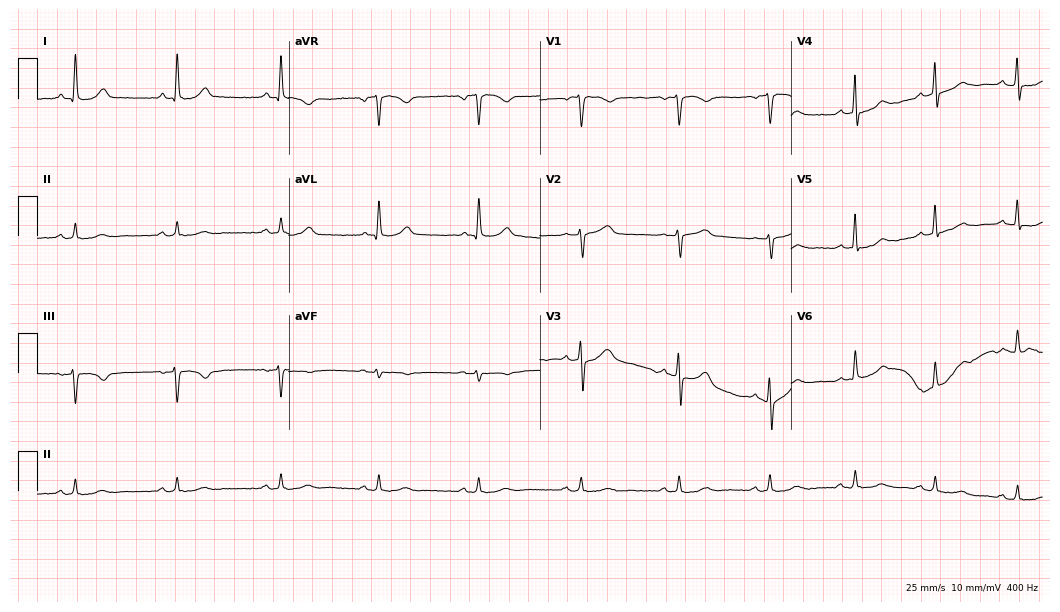
Resting 12-lead electrocardiogram (10.2-second recording at 400 Hz). Patient: a 54-year-old male. Read as a normal ECG.